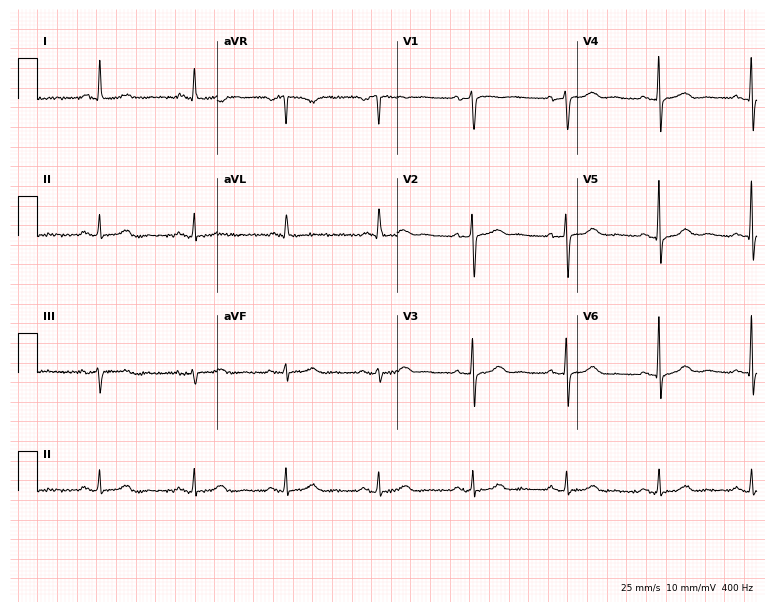
Electrocardiogram (7.3-second recording at 400 Hz), a 62-year-old female. Overall reading on record: normal ECG.